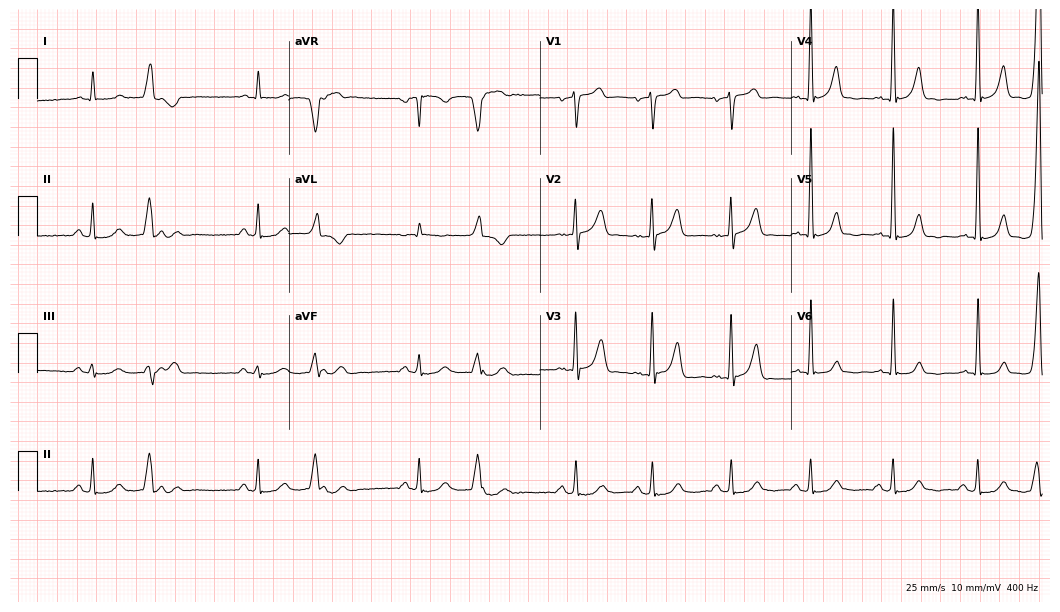
Resting 12-lead electrocardiogram. Patient: a male, 82 years old. None of these six findings is recorded: first-degree AV block, right bundle branch block, left bundle branch block, sinus bradycardia, atrial fibrillation, sinus tachycardia. Findings outside these six are not listed.